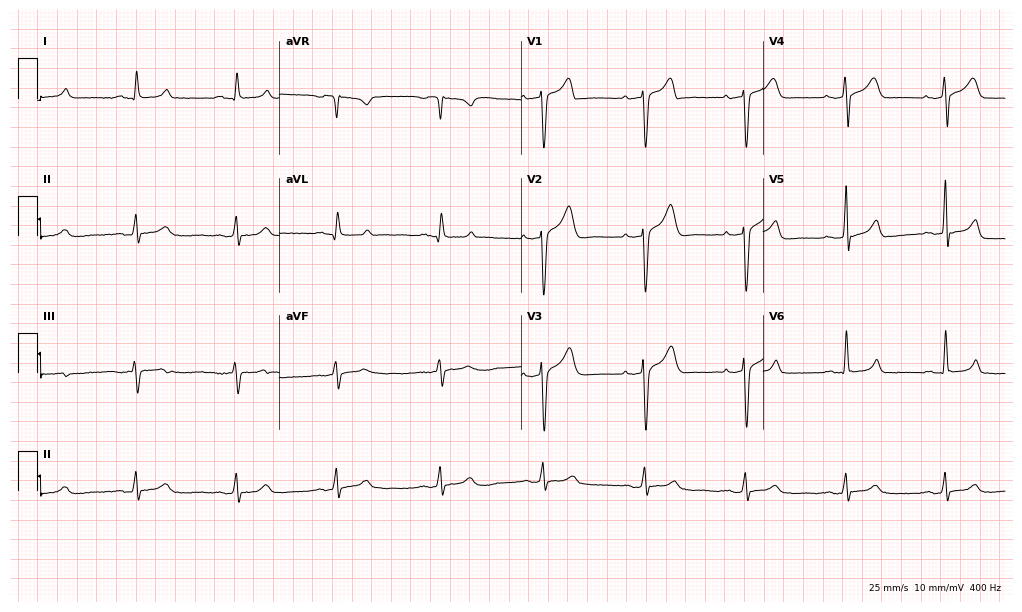
12-lead ECG from a man, 69 years old (9.9-second recording at 400 Hz). No first-degree AV block, right bundle branch block, left bundle branch block, sinus bradycardia, atrial fibrillation or sinus tachycardia recorded for this tracing.